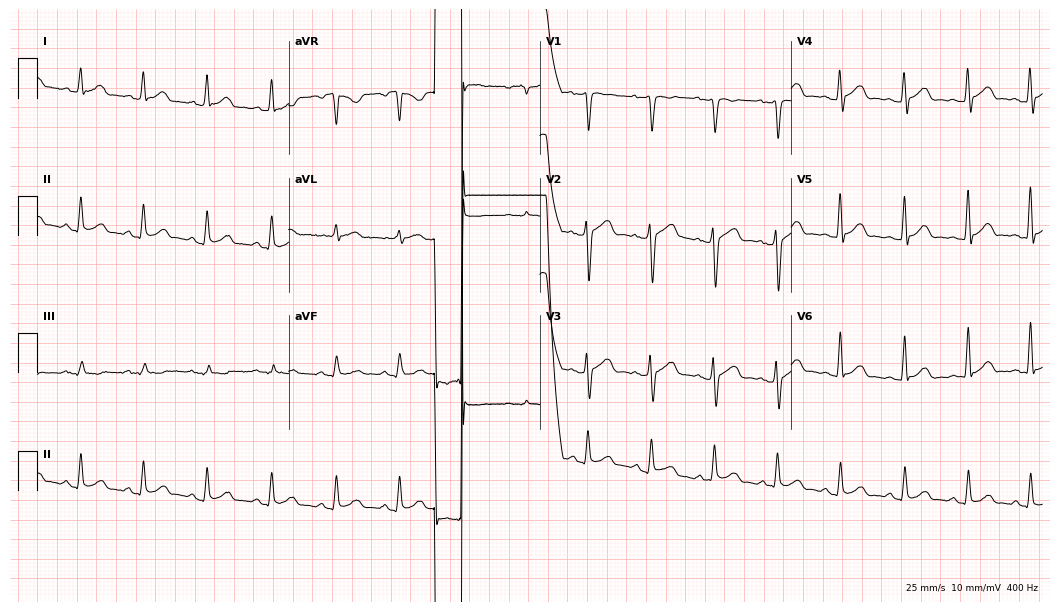
12-lead ECG (10.2-second recording at 400 Hz) from a 48-year-old man. Labelled as a normal ECG.